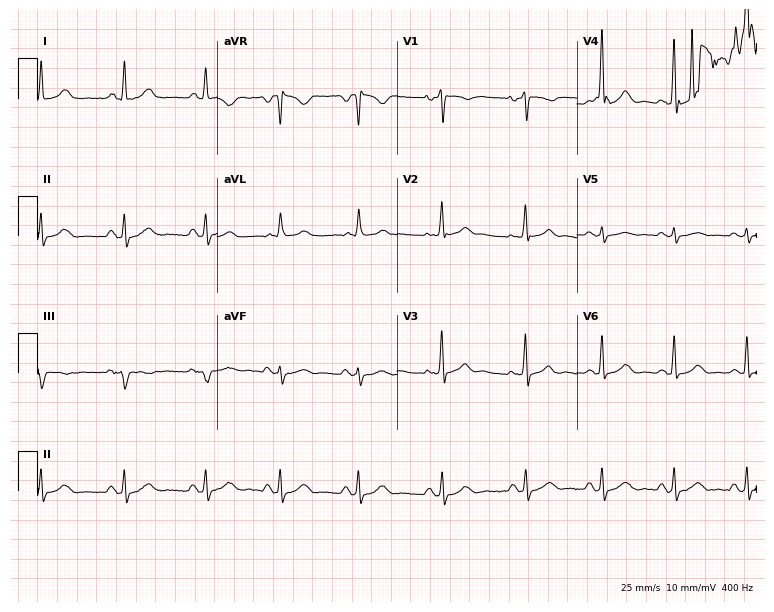
Standard 12-lead ECG recorded from a 54-year-old female patient. None of these six findings is recorded: first-degree AV block, right bundle branch block, left bundle branch block, sinus bradycardia, atrial fibrillation, sinus tachycardia.